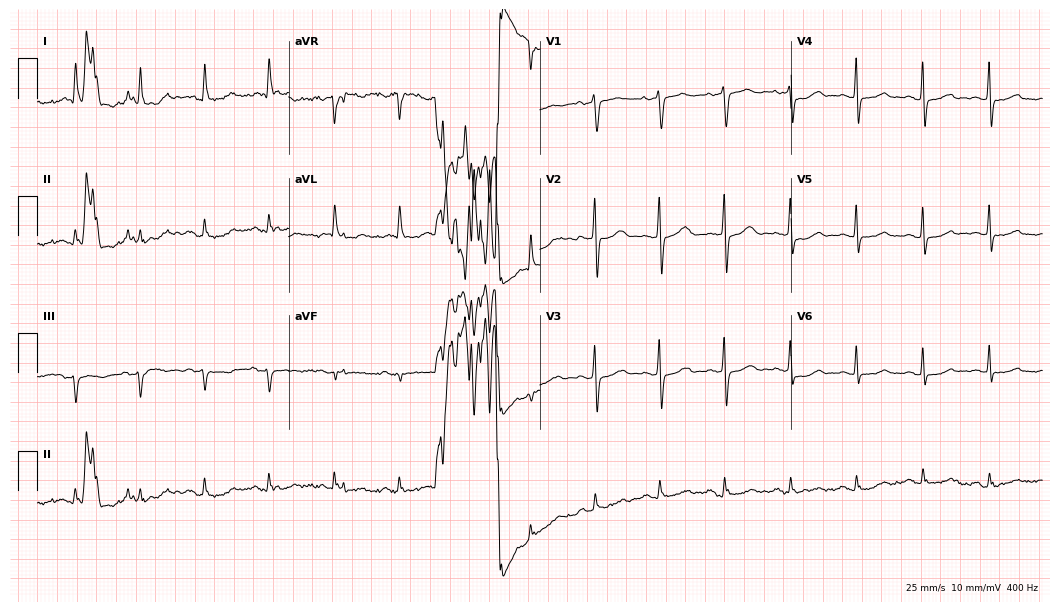
12-lead ECG (10.2-second recording at 400 Hz) from a 76-year-old woman. Screened for six findings — first-degree AV block, right bundle branch block, left bundle branch block, sinus bradycardia, atrial fibrillation, sinus tachycardia — none is recorded.